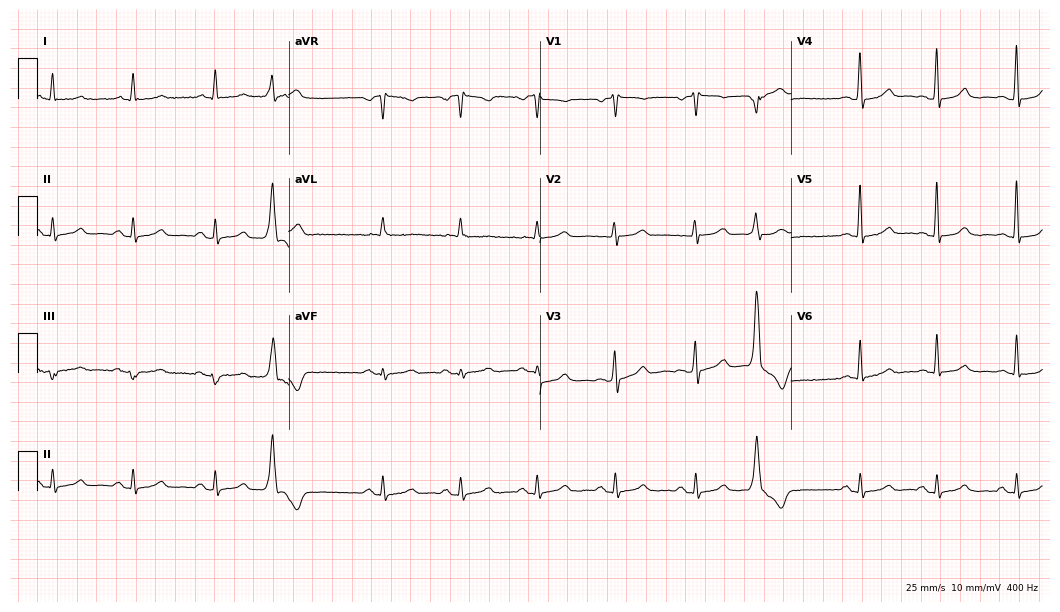
Standard 12-lead ECG recorded from a 64-year-old female. None of these six findings is recorded: first-degree AV block, right bundle branch block, left bundle branch block, sinus bradycardia, atrial fibrillation, sinus tachycardia.